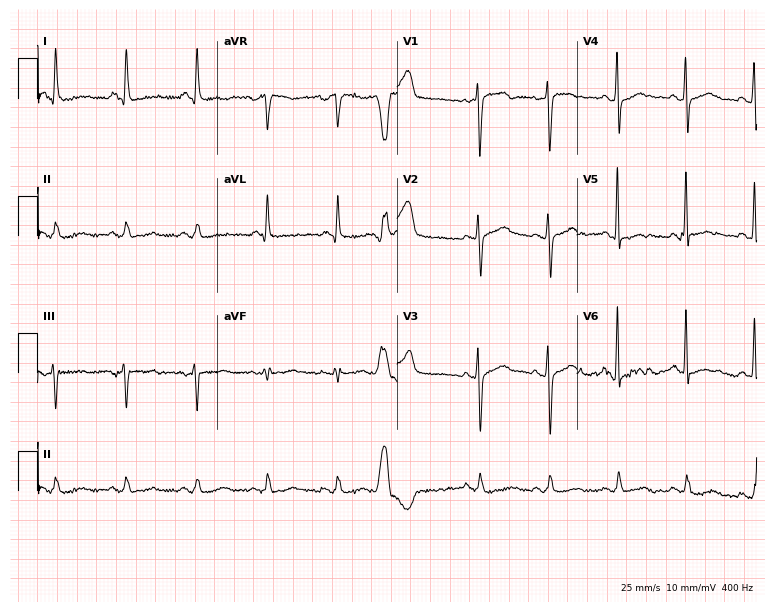
Electrocardiogram, a female patient, 68 years old. Of the six screened findings (first-degree AV block, right bundle branch block, left bundle branch block, sinus bradycardia, atrial fibrillation, sinus tachycardia), none is recorded. Other findings, if any, are not listed.